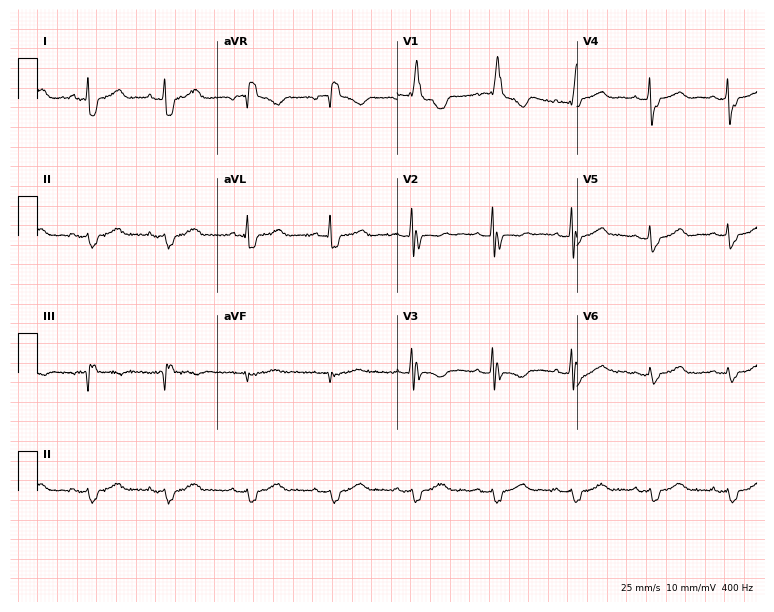
Standard 12-lead ECG recorded from a 72-year-old woman (7.3-second recording at 400 Hz). The tracing shows right bundle branch block (RBBB).